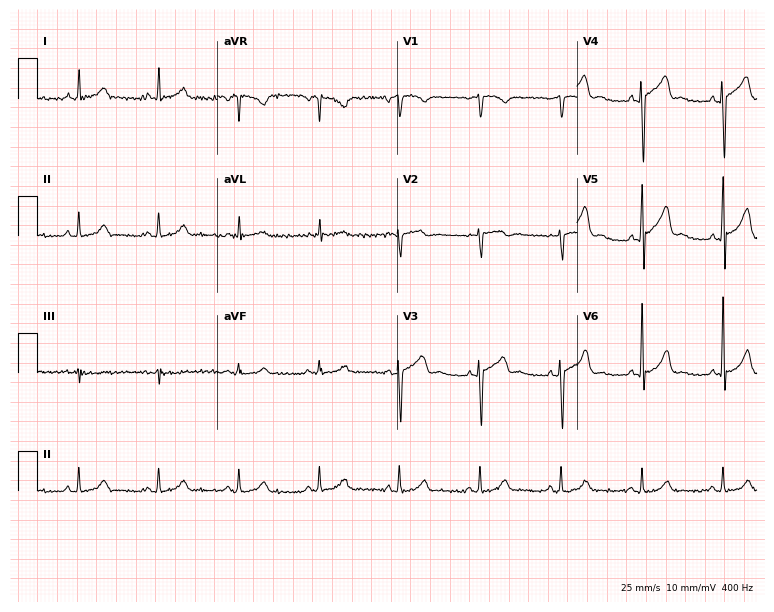
Resting 12-lead electrocardiogram. Patient: a 78-year-old man. None of these six findings is recorded: first-degree AV block, right bundle branch block (RBBB), left bundle branch block (LBBB), sinus bradycardia, atrial fibrillation (AF), sinus tachycardia.